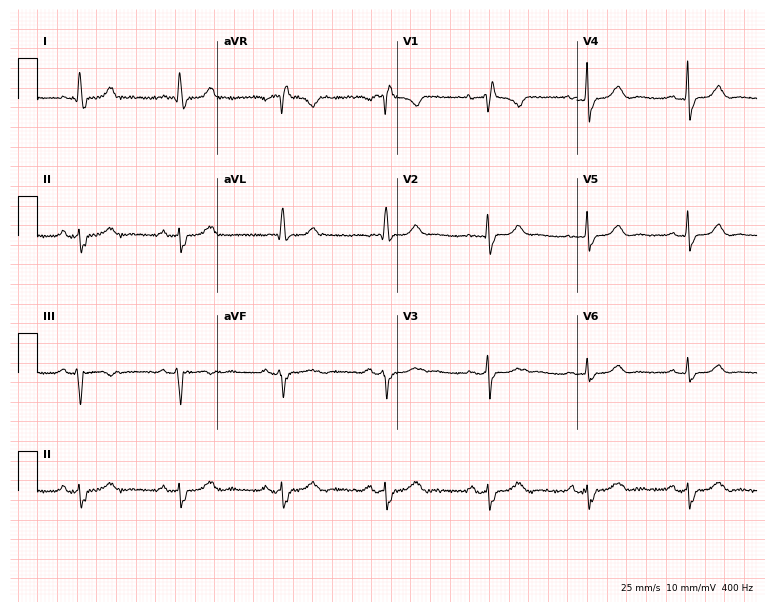
Electrocardiogram, a woman, 49 years old. Interpretation includes right bundle branch block.